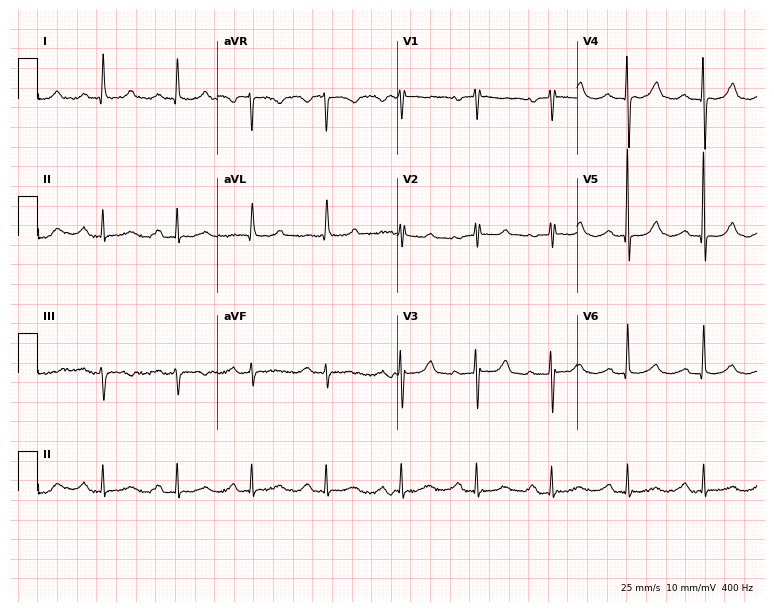
Electrocardiogram, a female, 84 years old. Of the six screened findings (first-degree AV block, right bundle branch block (RBBB), left bundle branch block (LBBB), sinus bradycardia, atrial fibrillation (AF), sinus tachycardia), none is recorded. Only these six findings were labelled.